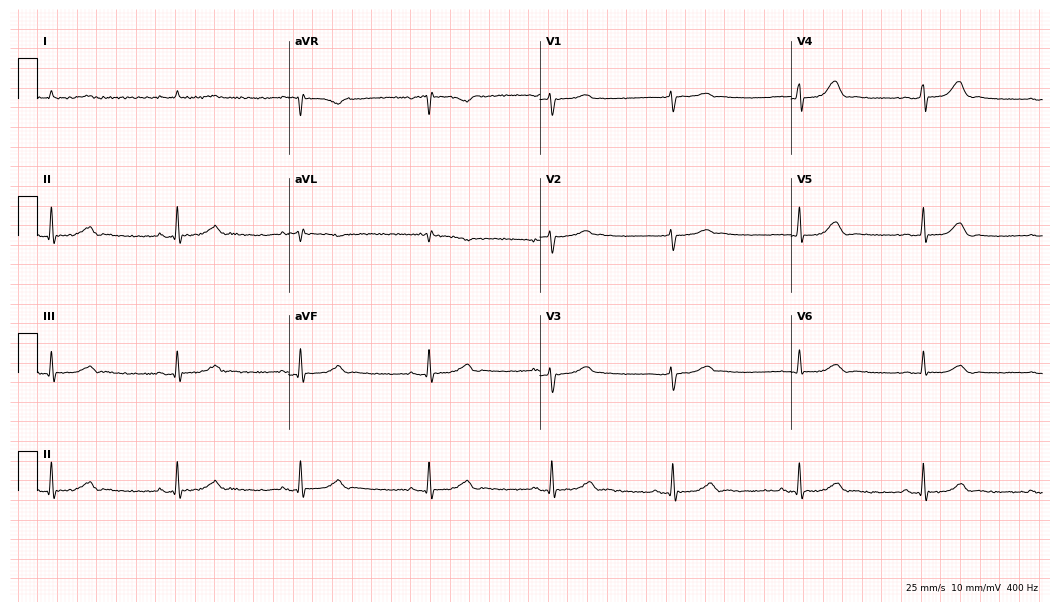
Standard 12-lead ECG recorded from a man, 78 years old (10.2-second recording at 400 Hz). The tracing shows sinus bradycardia (a sinus rate of 50 beats per minute or less).